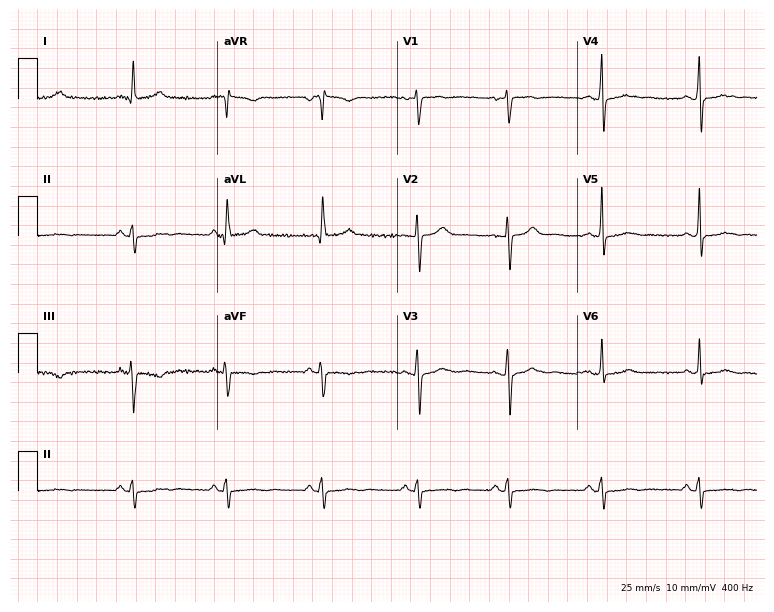
12-lead ECG (7.3-second recording at 400 Hz) from a 36-year-old woman. Screened for six findings — first-degree AV block, right bundle branch block (RBBB), left bundle branch block (LBBB), sinus bradycardia, atrial fibrillation (AF), sinus tachycardia — none is recorded.